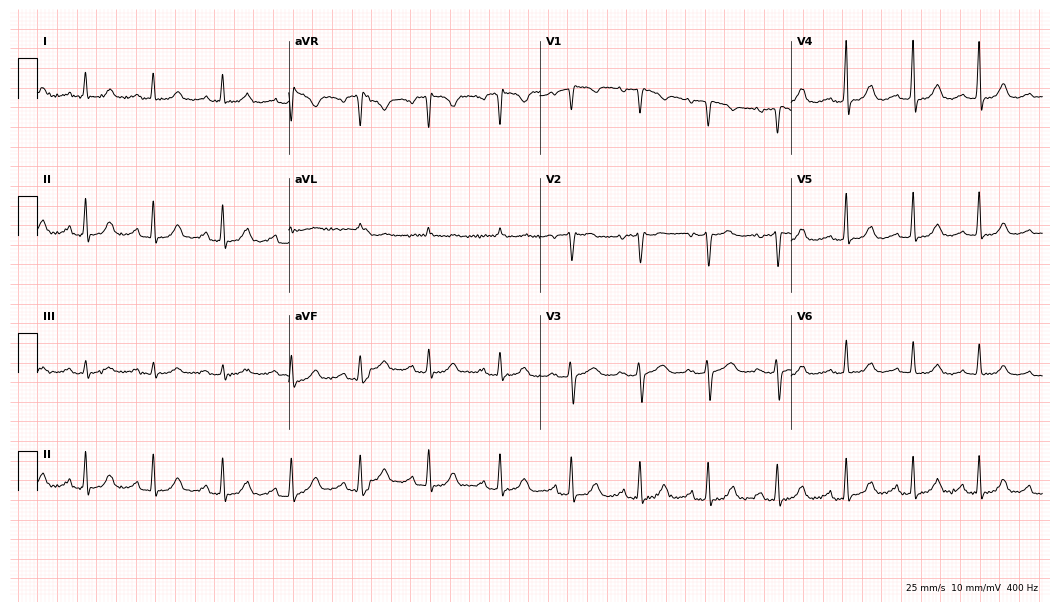
12-lead ECG from a 55-year-old female patient (10.2-second recording at 400 Hz). Recorded interpretation: within normal limits.